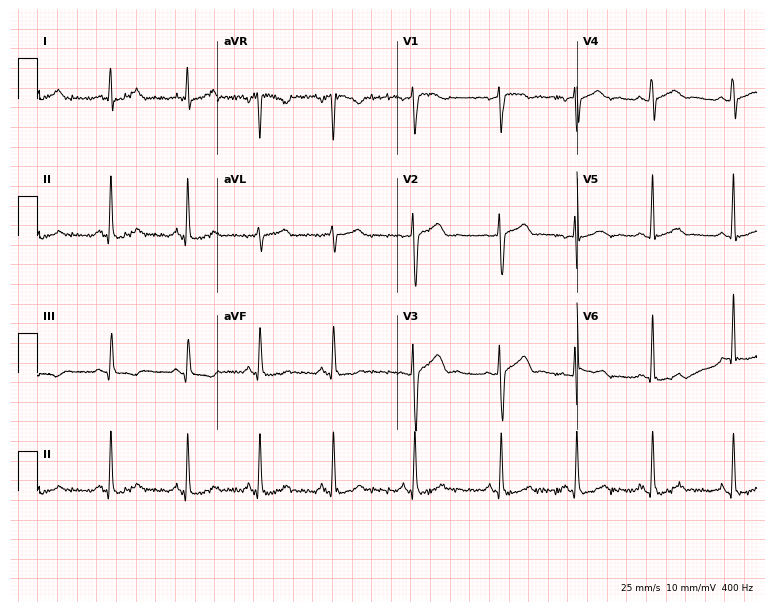
12-lead ECG from a female patient, 21 years old. Screened for six findings — first-degree AV block, right bundle branch block, left bundle branch block, sinus bradycardia, atrial fibrillation, sinus tachycardia — none is recorded.